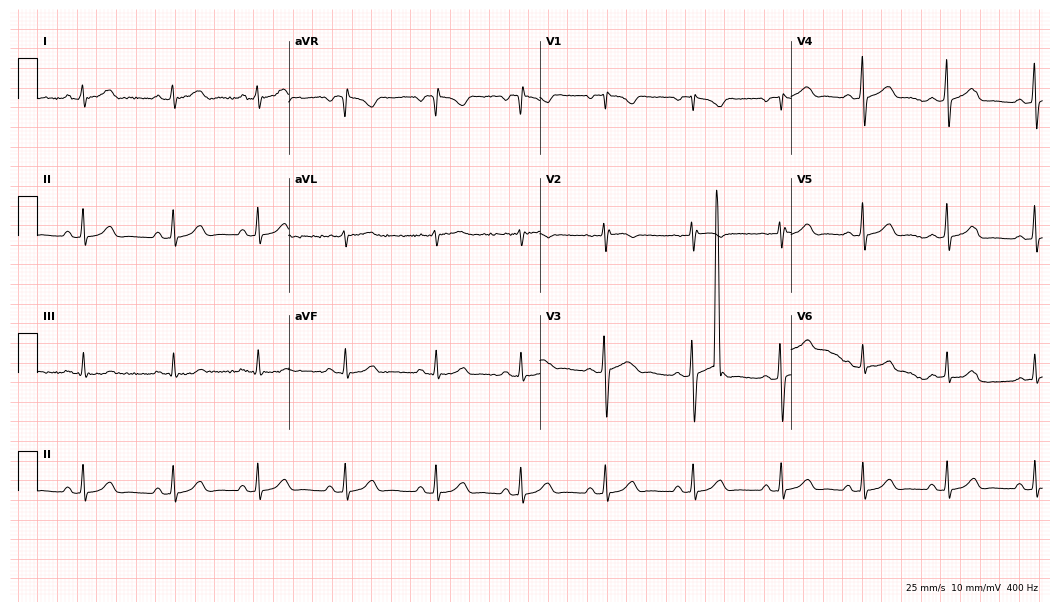
Standard 12-lead ECG recorded from a 30-year-old female patient. Read as a normal ECG.